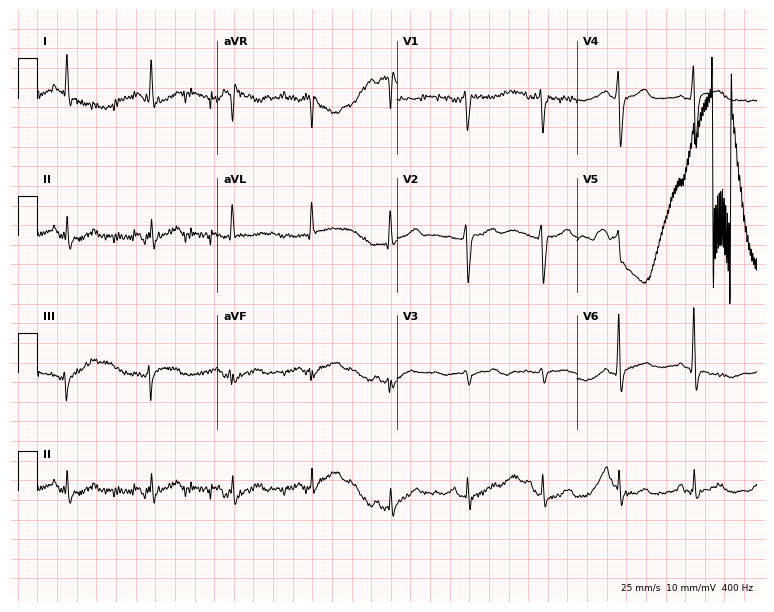
Electrocardiogram, a 50-year-old man. Of the six screened findings (first-degree AV block, right bundle branch block, left bundle branch block, sinus bradycardia, atrial fibrillation, sinus tachycardia), none is recorded.